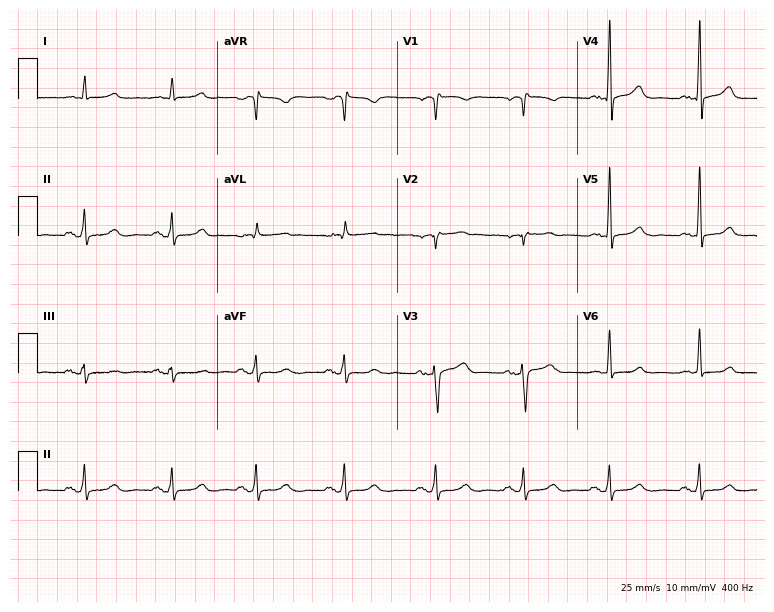
Standard 12-lead ECG recorded from a 54-year-old female (7.3-second recording at 400 Hz). Read as a normal ECG.